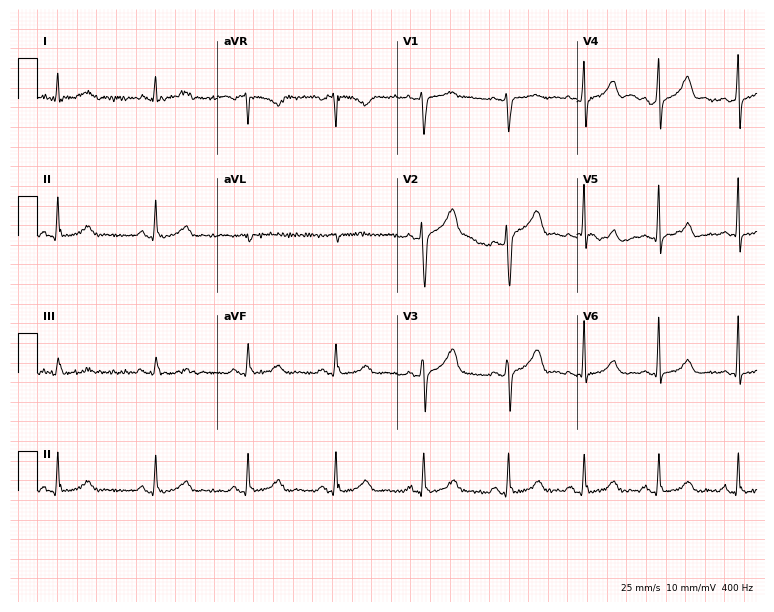
Electrocardiogram, a 63-year-old man. Overall reading on record: normal ECG.